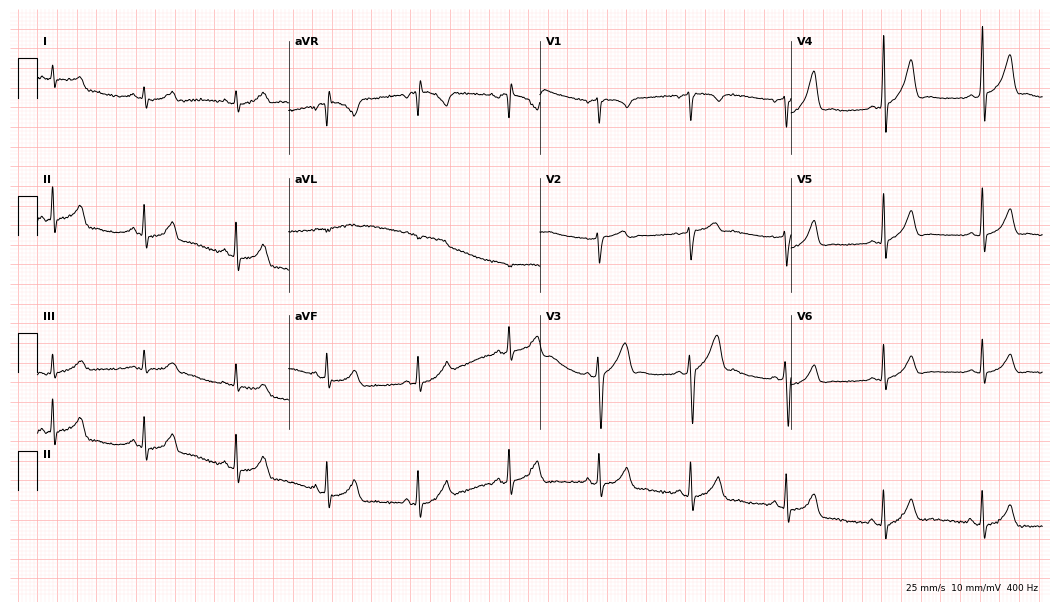
12-lead ECG from a 43-year-old male (10.2-second recording at 400 Hz). No first-degree AV block, right bundle branch block, left bundle branch block, sinus bradycardia, atrial fibrillation or sinus tachycardia recorded for this tracing. Findings outside these six are not listed.